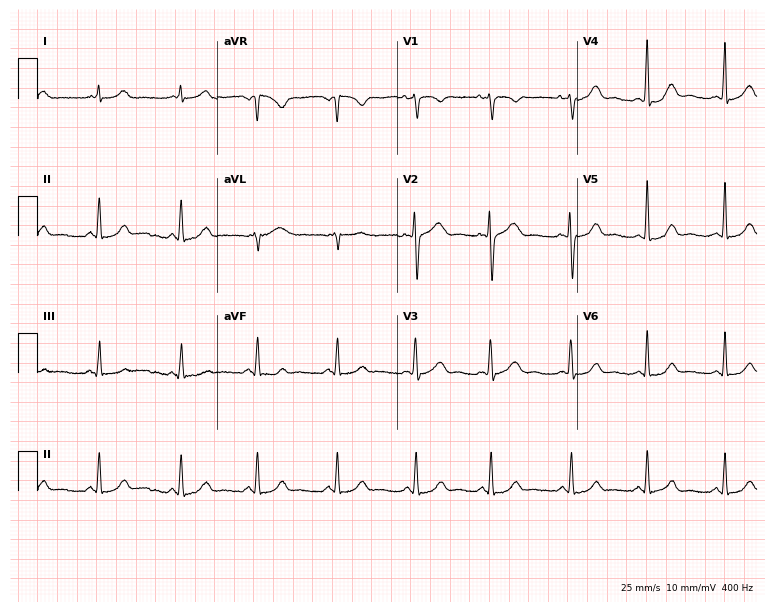
Electrocardiogram, a female, 44 years old. Overall reading on record: normal ECG.